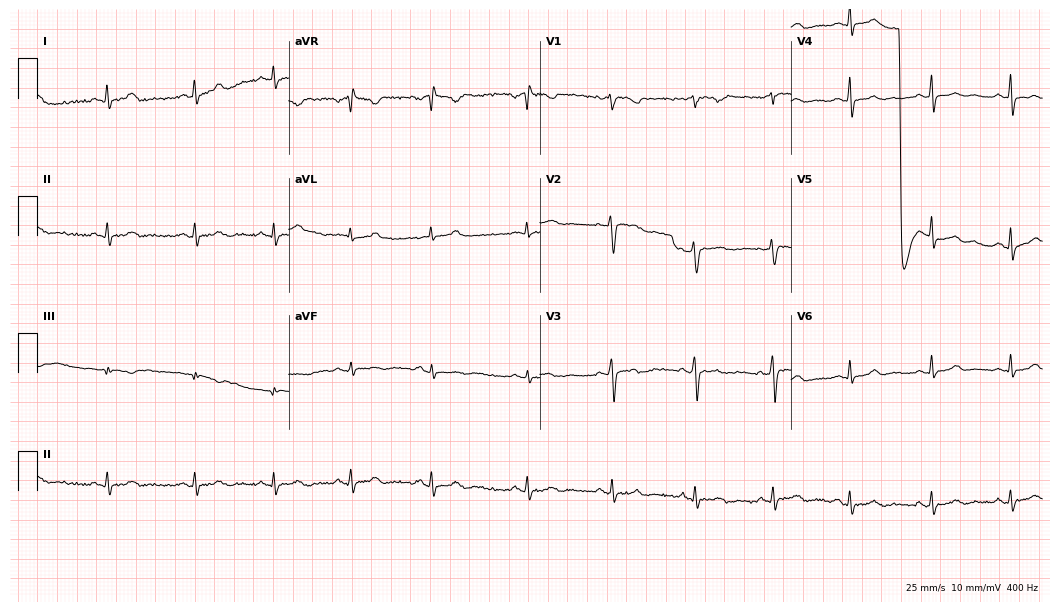
Resting 12-lead electrocardiogram (10.2-second recording at 400 Hz). Patient: a female, 42 years old. None of these six findings is recorded: first-degree AV block, right bundle branch block (RBBB), left bundle branch block (LBBB), sinus bradycardia, atrial fibrillation (AF), sinus tachycardia.